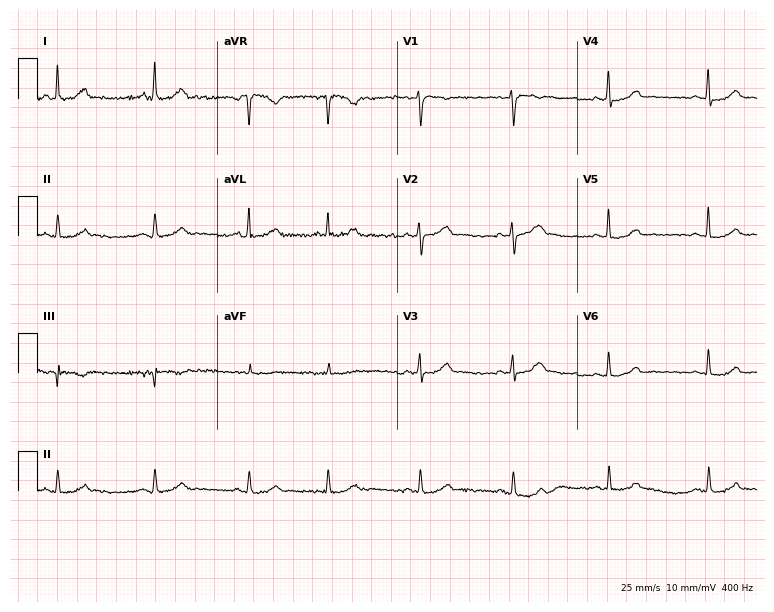
12-lead ECG from a 49-year-old female (7.3-second recording at 400 Hz). No first-degree AV block, right bundle branch block (RBBB), left bundle branch block (LBBB), sinus bradycardia, atrial fibrillation (AF) or sinus tachycardia recorded for this tracing.